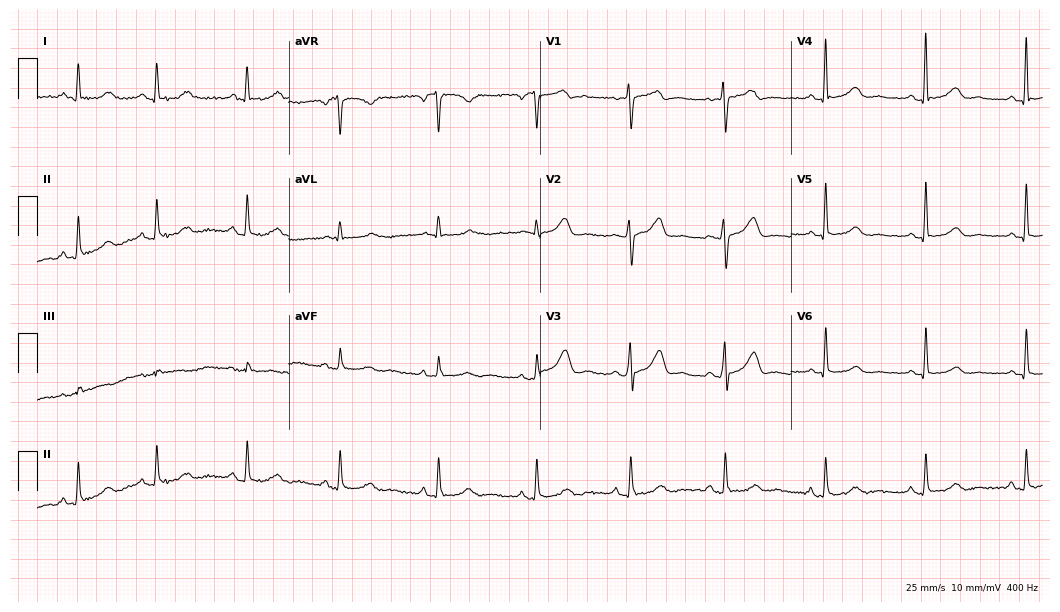
12-lead ECG from a 48-year-old woman (10.2-second recording at 400 Hz). No first-degree AV block, right bundle branch block, left bundle branch block, sinus bradycardia, atrial fibrillation or sinus tachycardia recorded for this tracing. Findings outside these six are not listed.